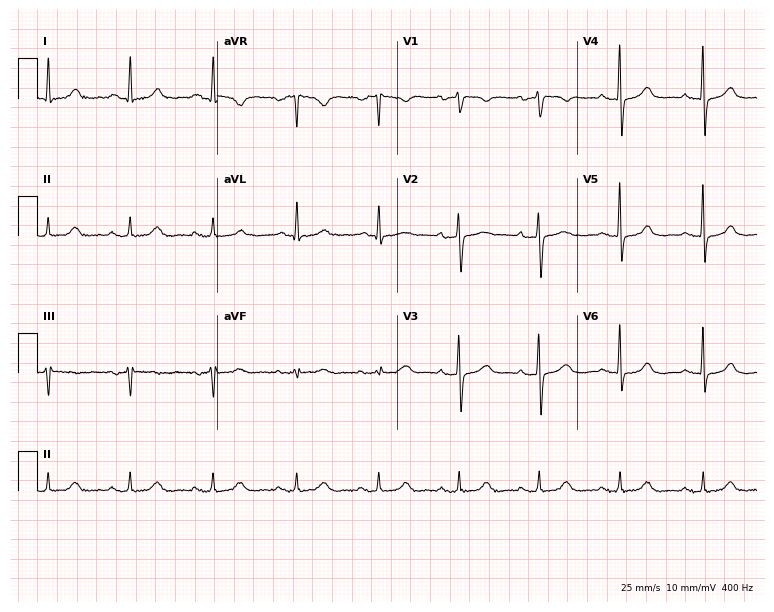
Resting 12-lead electrocardiogram (7.3-second recording at 400 Hz). Patient: a 70-year-old female. None of these six findings is recorded: first-degree AV block, right bundle branch block, left bundle branch block, sinus bradycardia, atrial fibrillation, sinus tachycardia. Findings outside these six are not listed.